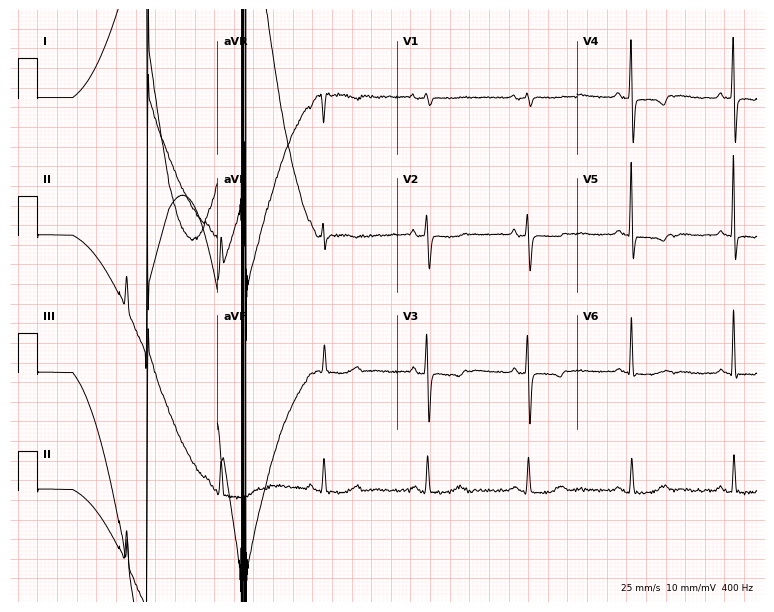
Standard 12-lead ECG recorded from a 73-year-old woman. None of these six findings is recorded: first-degree AV block, right bundle branch block, left bundle branch block, sinus bradycardia, atrial fibrillation, sinus tachycardia. Only these six findings were labelled.